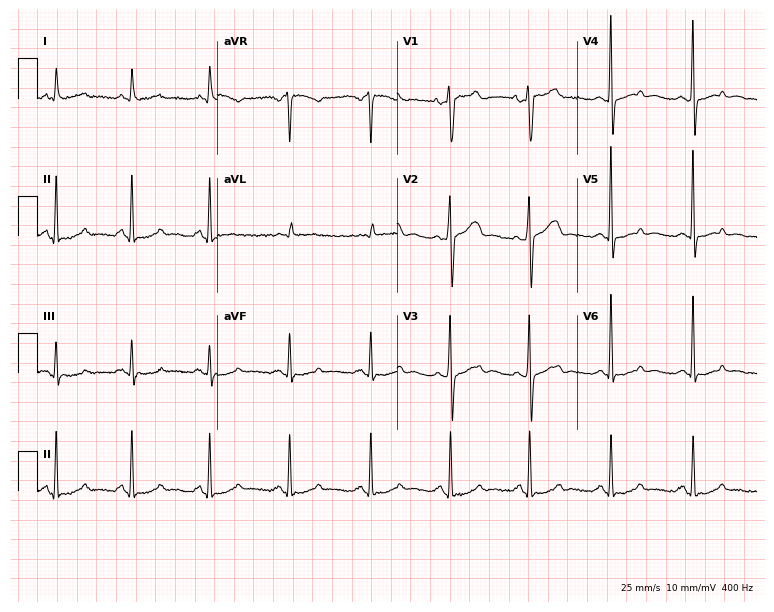
12-lead ECG (7.3-second recording at 400 Hz) from a woman, 78 years old. Labelled as a normal ECG.